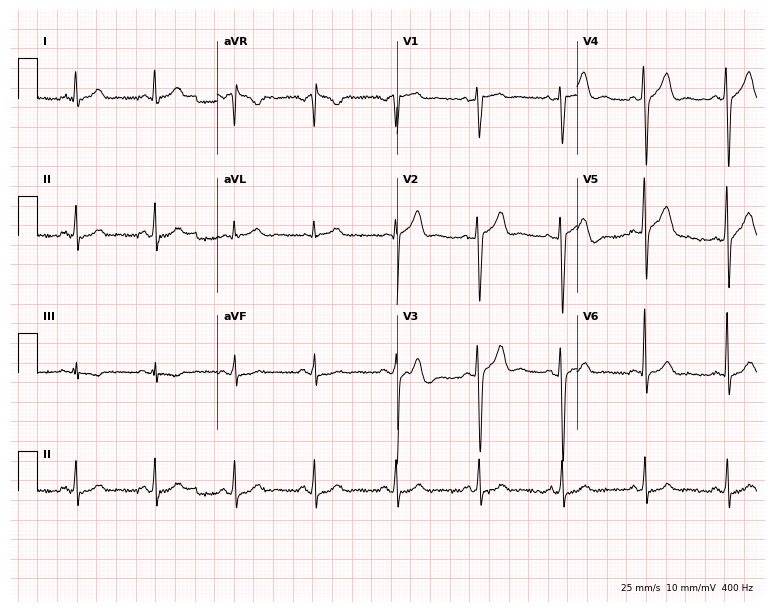
Standard 12-lead ECG recorded from a man, 51 years old (7.3-second recording at 400 Hz). Read as a normal ECG.